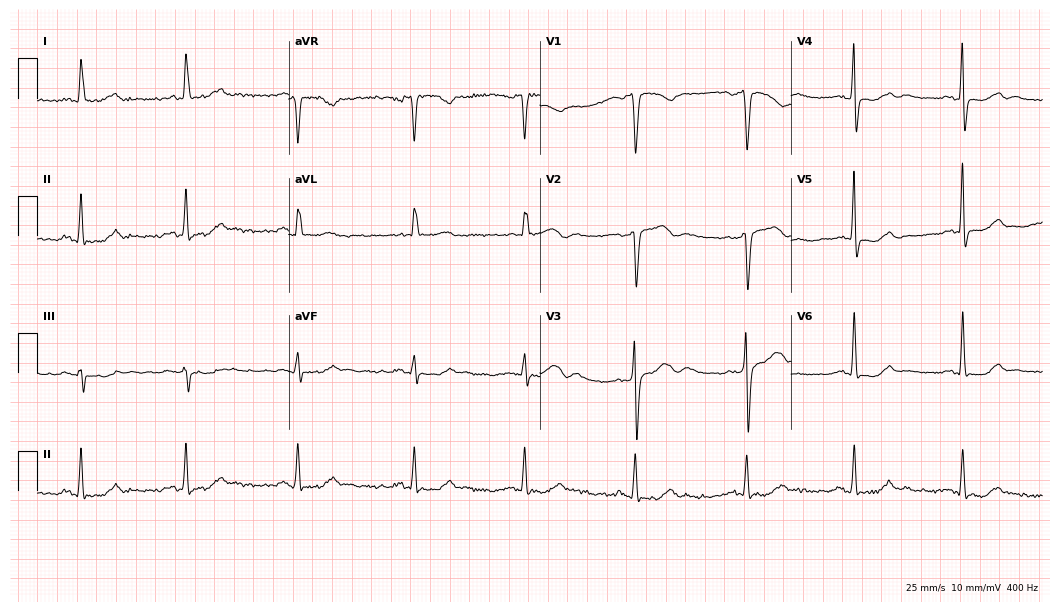
Standard 12-lead ECG recorded from a woman, 57 years old. None of these six findings is recorded: first-degree AV block, right bundle branch block, left bundle branch block, sinus bradycardia, atrial fibrillation, sinus tachycardia. Findings outside these six are not listed.